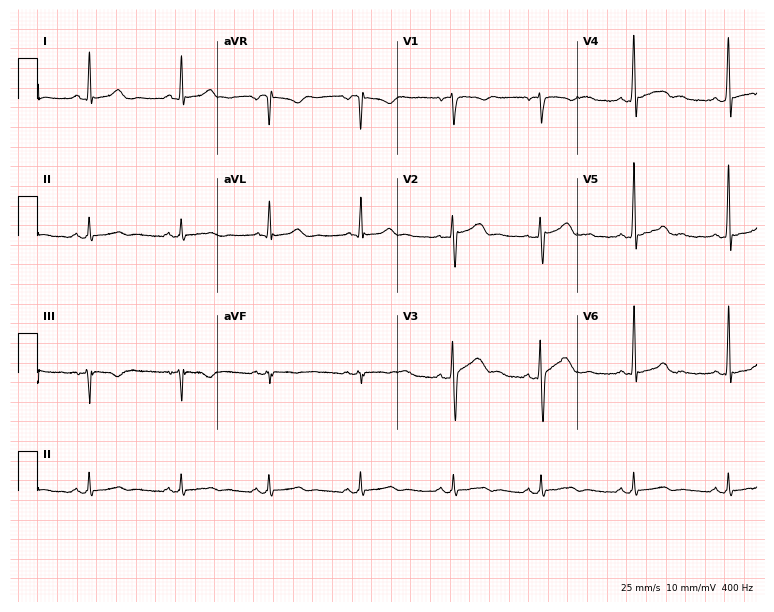
Standard 12-lead ECG recorded from a 30-year-old male patient (7.3-second recording at 400 Hz). Read as a normal ECG.